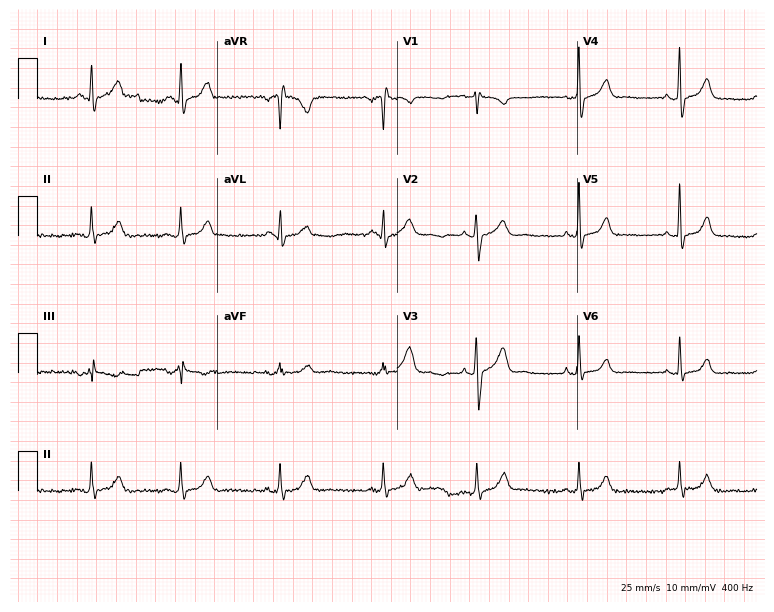
Resting 12-lead electrocardiogram. Patient: a 31-year-old woman. Read as a normal ECG.